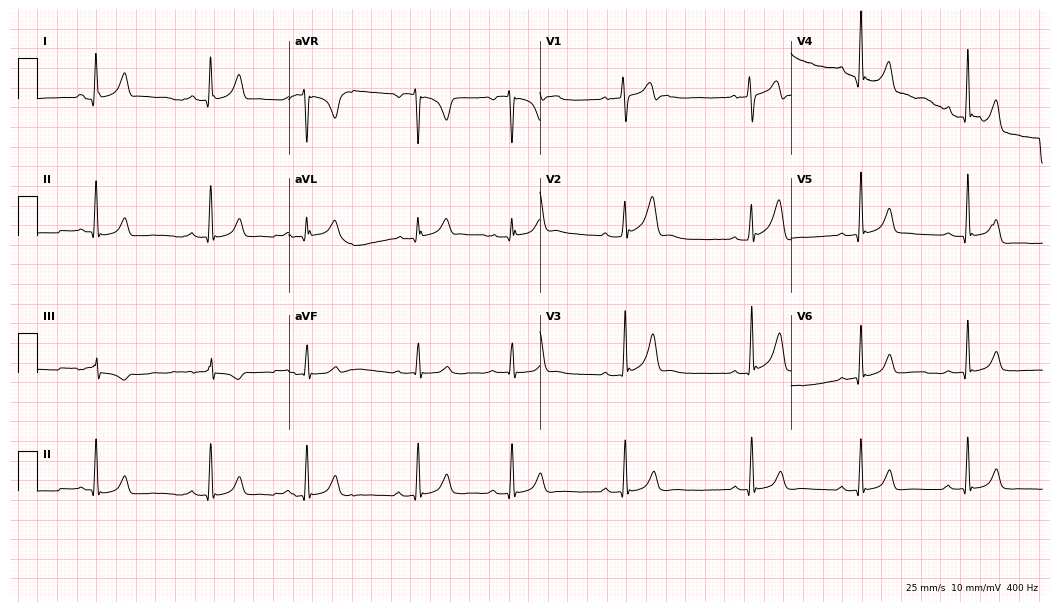
Electrocardiogram (10.2-second recording at 400 Hz), a 20-year-old male. Of the six screened findings (first-degree AV block, right bundle branch block, left bundle branch block, sinus bradycardia, atrial fibrillation, sinus tachycardia), none is recorded. Other findings, if any, are not listed.